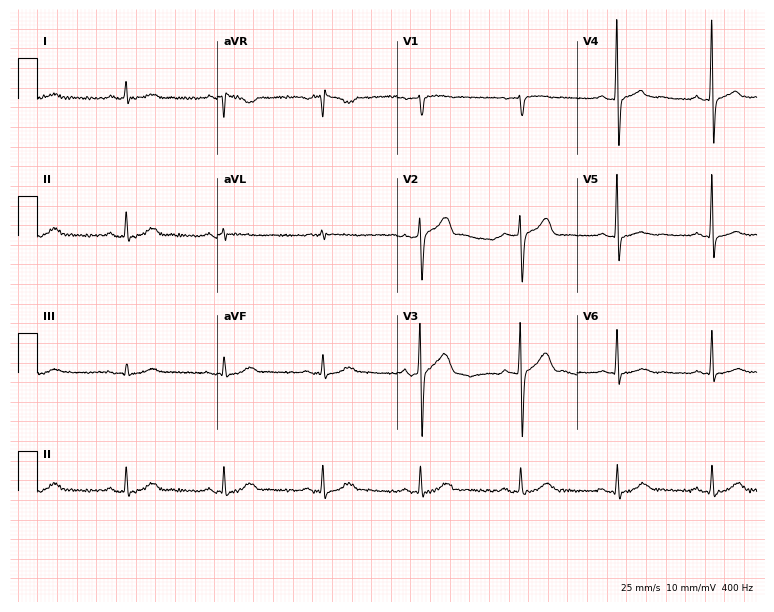
Electrocardiogram (7.3-second recording at 400 Hz), a 62-year-old male. Interpretation includes sinus bradycardia (a sinus rate of 50 beats per minute or less).